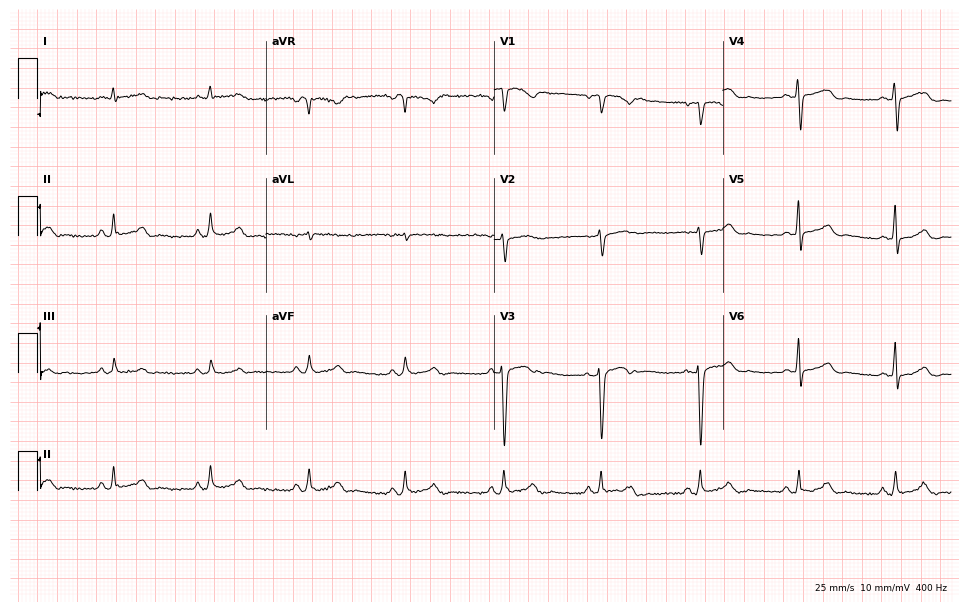
Standard 12-lead ECG recorded from a female patient, 40 years old. Read as a normal ECG.